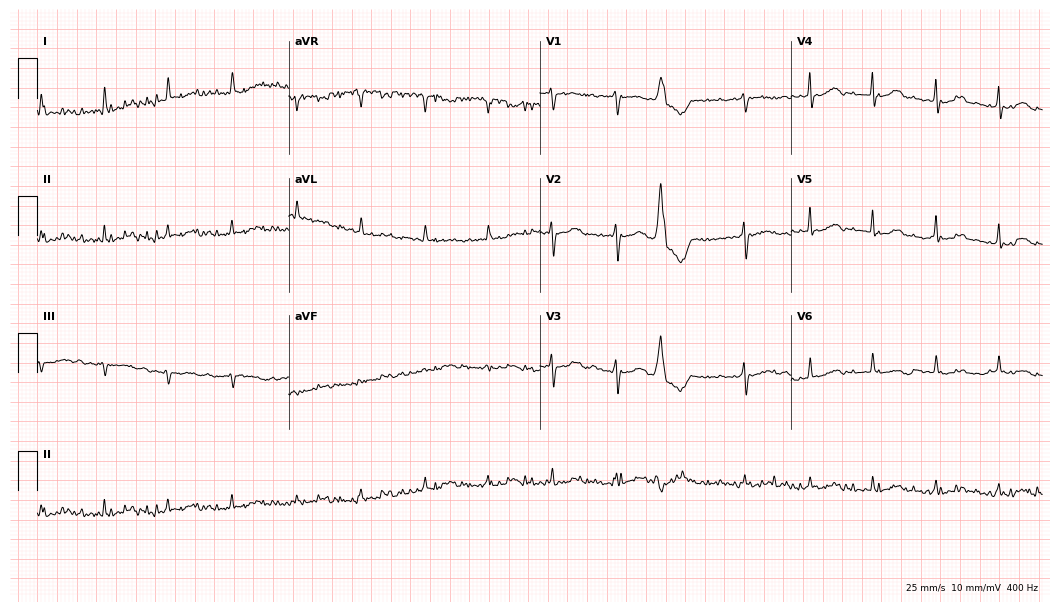
12-lead ECG from a male, 80 years old. Screened for six findings — first-degree AV block, right bundle branch block, left bundle branch block, sinus bradycardia, atrial fibrillation, sinus tachycardia — none is recorded. Only these six findings were labelled.